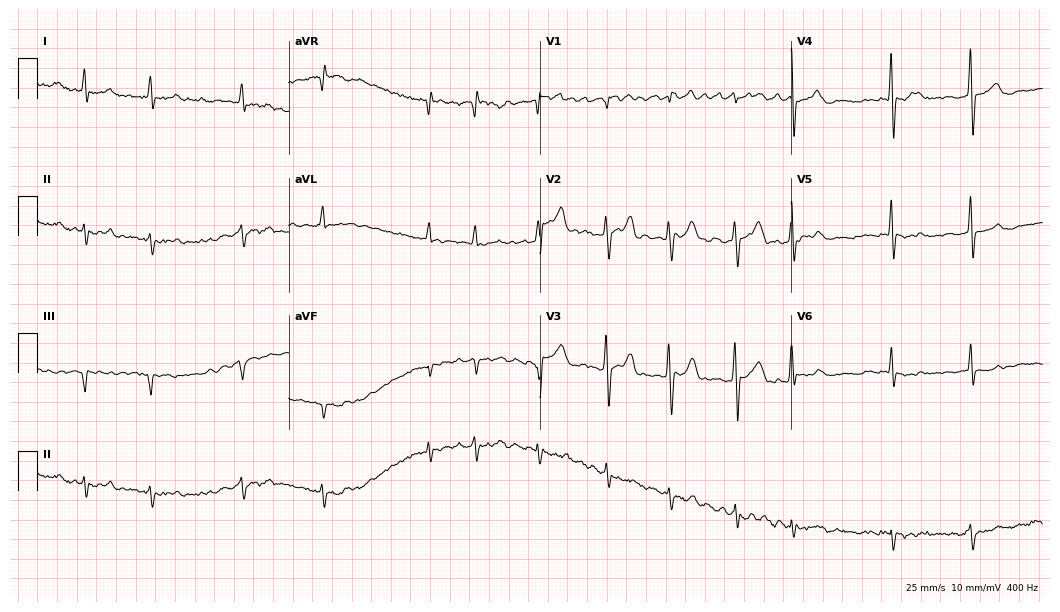
Standard 12-lead ECG recorded from a 54-year-old man. The tracing shows atrial fibrillation.